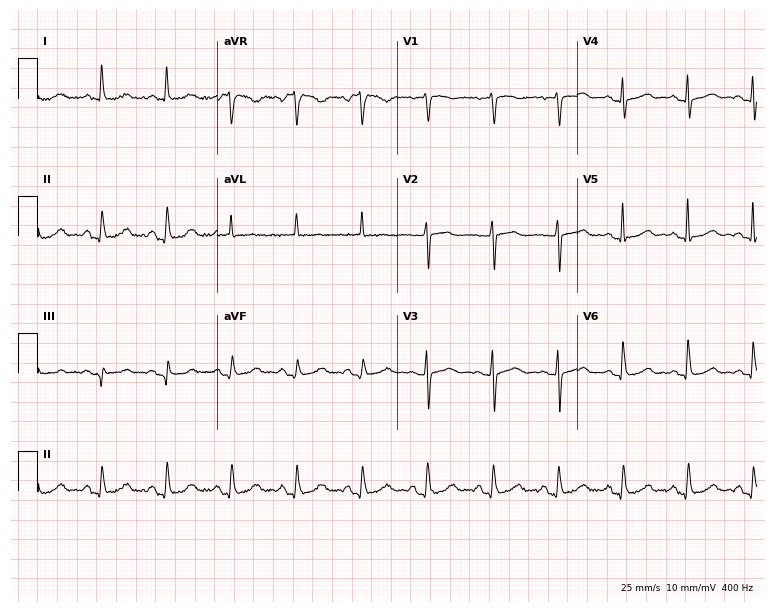
12-lead ECG from an 84-year-old woman (7.3-second recording at 400 Hz). Recorded interpretation: within normal limits.